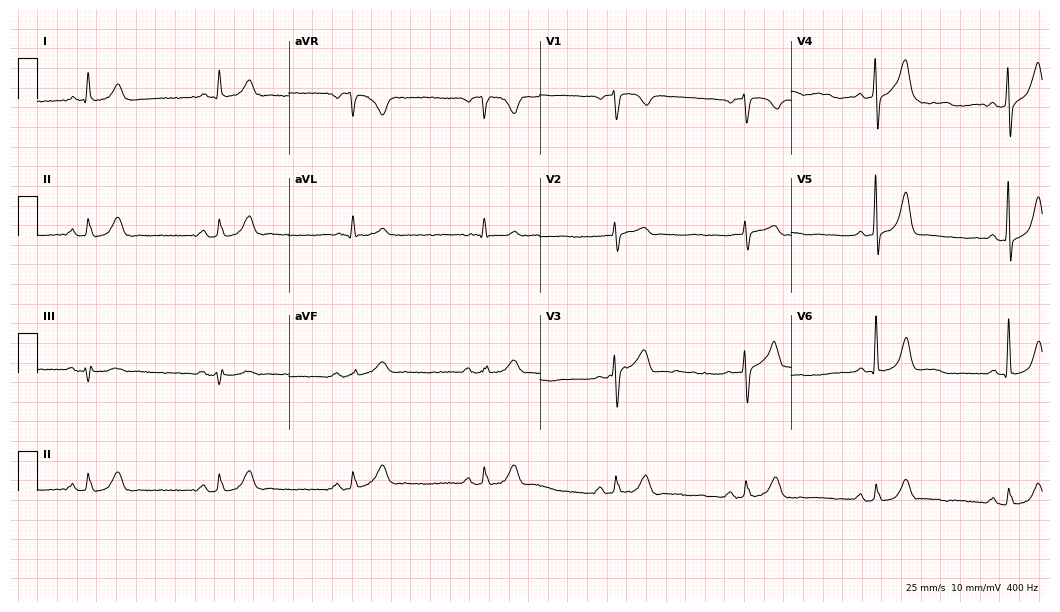
ECG — an 80-year-old male. Findings include sinus bradycardia (a sinus rate of 50 beats per minute or less).